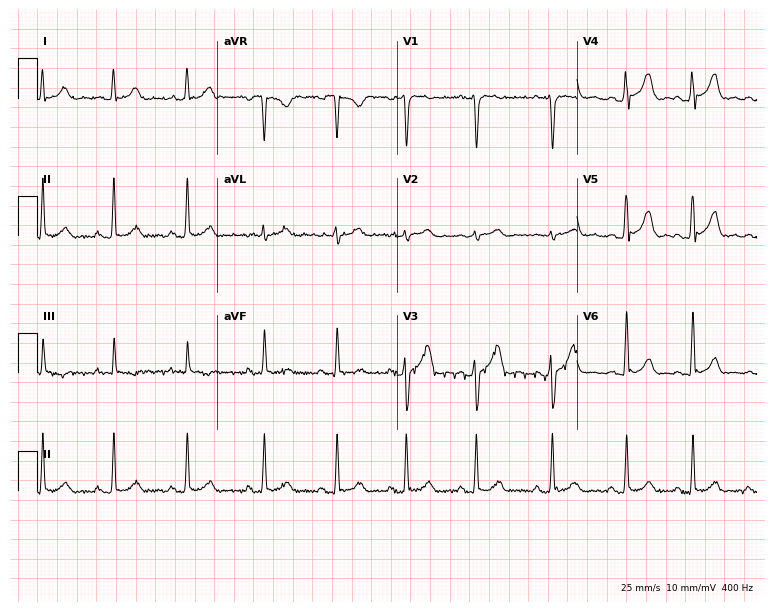
12-lead ECG from a 26-year-old male. Screened for six findings — first-degree AV block, right bundle branch block, left bundle branch block, sinus bradycardia, atrial fibrillation, sinus tachycardia — none is recorded. Other findings, if any, are not listed.